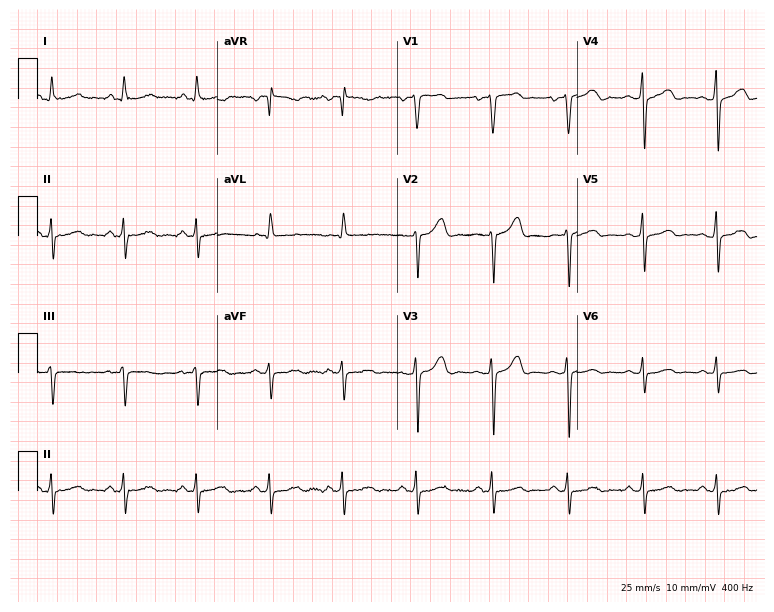
Standard 12-lead ECG recorded from a 53-year-old female (7.3-second recording at 400 Hz). None of these six findings is recorded: first-degree AV block, right bundle branch block, left bundle branch block, sinus bradycardia, atrial fibrillation, sinus tachycardia.